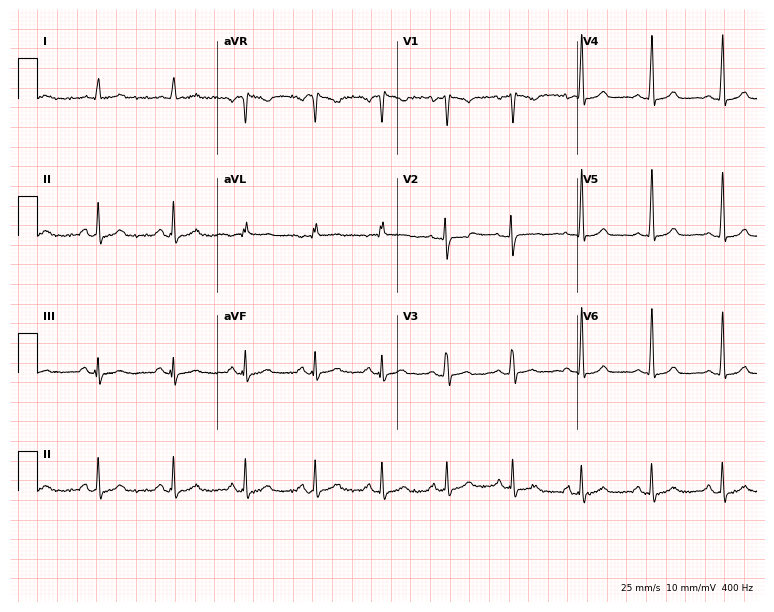
Resting 12-lead electrocardiogram. Patient: a 38-year-old male. Read as a normal ECG.